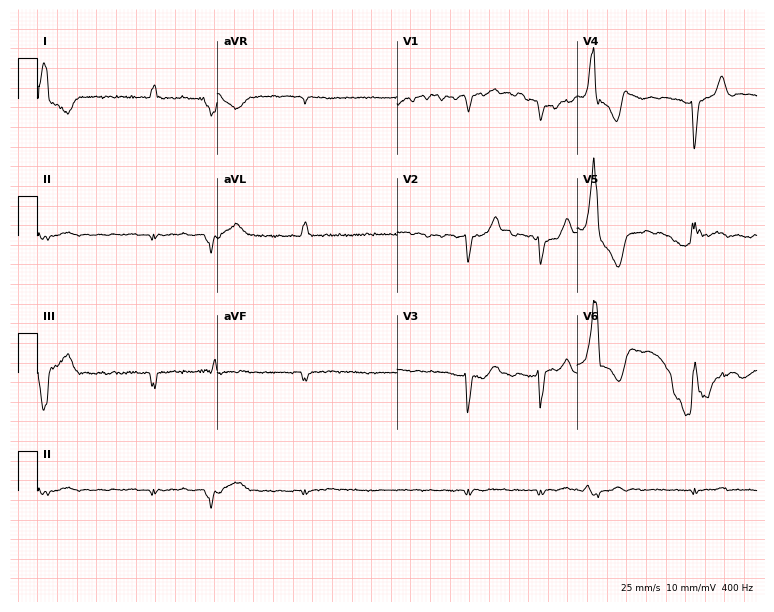
Electrocardiogram (7.3-second recording at 400 Hz), a man, 70 years old. Of the six screened findings (first-degree AV block, right bundle branch block, left bundle branch block, sinus bradycardia, atrial fibrillation, sinus tachycardia), none is recorded.